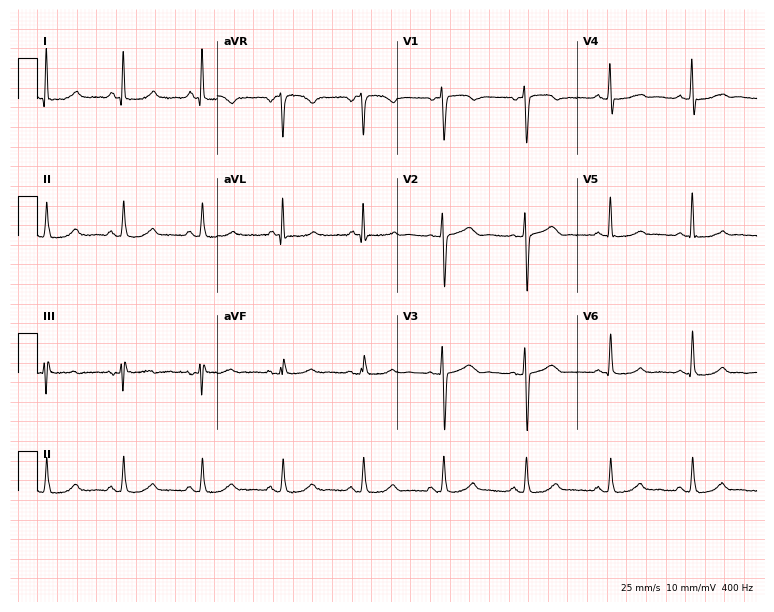
Standard 12-lead ECG recorded from a female, 56 years old (7.3-second recording at 400 Hz). Read as a normal ECG.